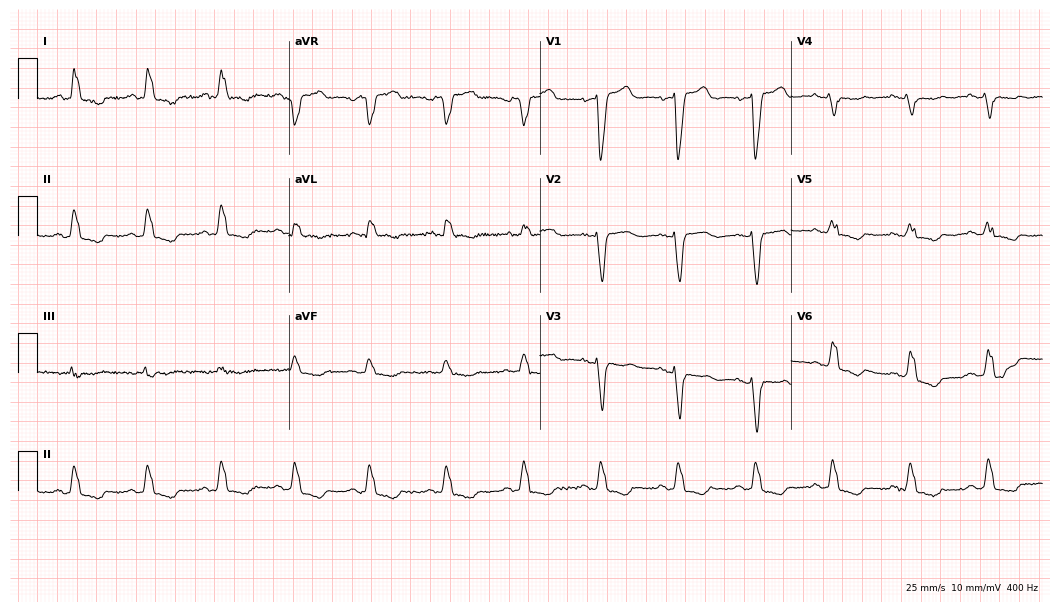
Electrocardiogram, an 83-year-old female patient. Interpretation includes left bundle branch block (LBBB).